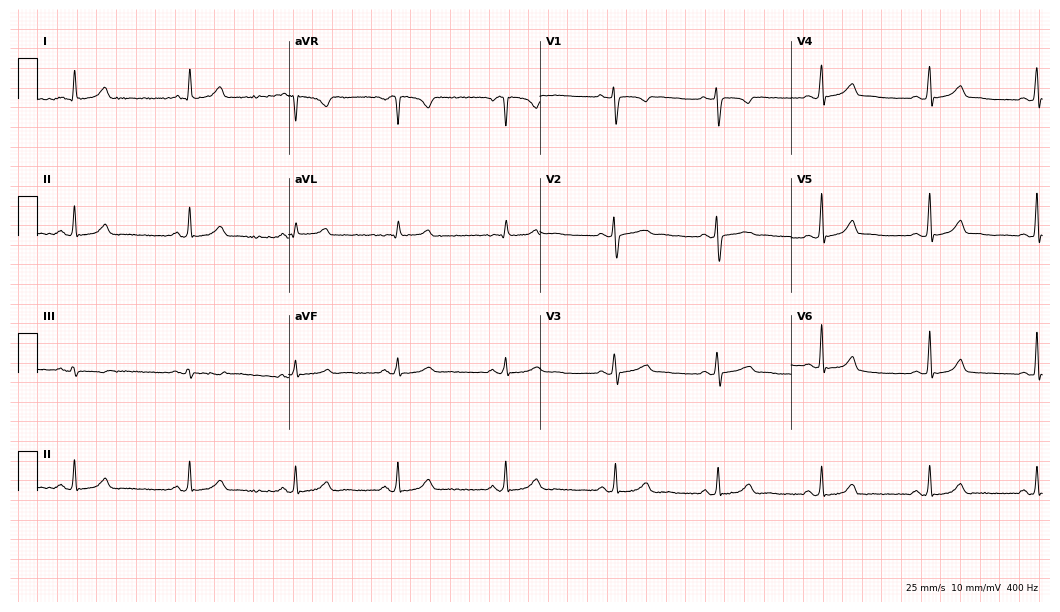
Resting 12-lead electrocardiogram. Patient: a 38-year-old female. Read as a normal ECG.